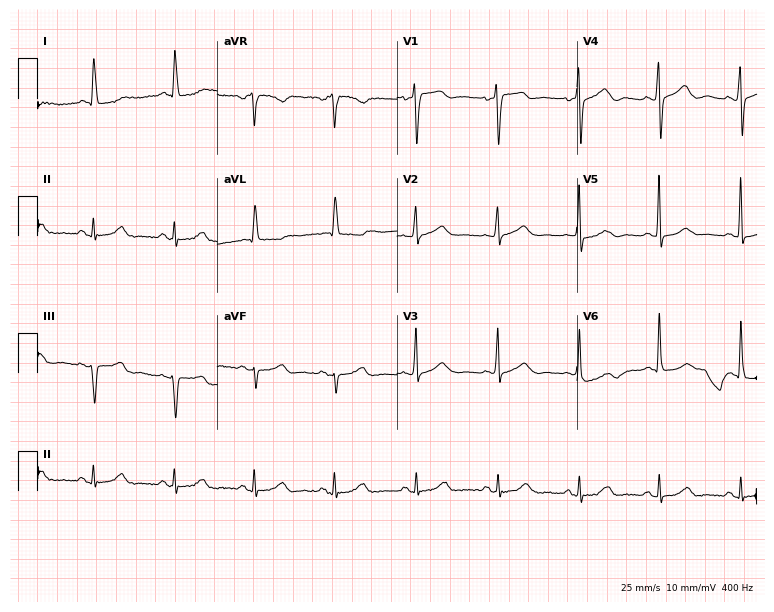
12-lead ECG from a female, 77 years old (7.3-second recording at 400 Hz). No first-degree AV block, right bundle branch block, left bundle branch block, sinus bradycardia, atrial fibrillation or sinus tachycardia recorded for this tracing. Findings outside these six are not listed.